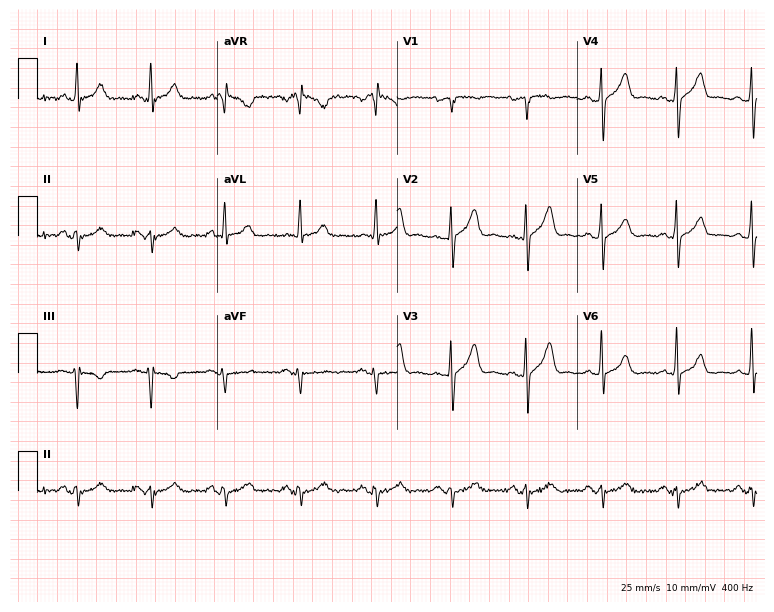
Resting 12-lead electrocardiogram (7.3-second recording at 400 Hz). Patient: a 65-year-old man. None of these six findings is recorded: first-degree AV block, right bundle branch block, left bundle branch block, sinus bradycardia, atrial fibrillation, sinus tachycardia.